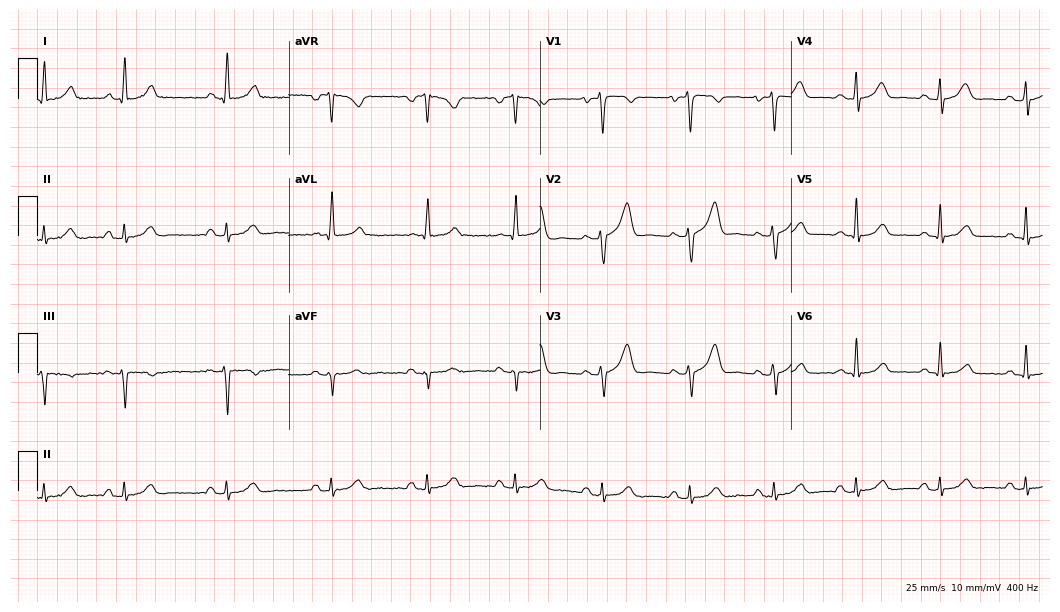
Standard 12-lead ECG recorded from a 43-year-old male patient. Read as a normal ECG.